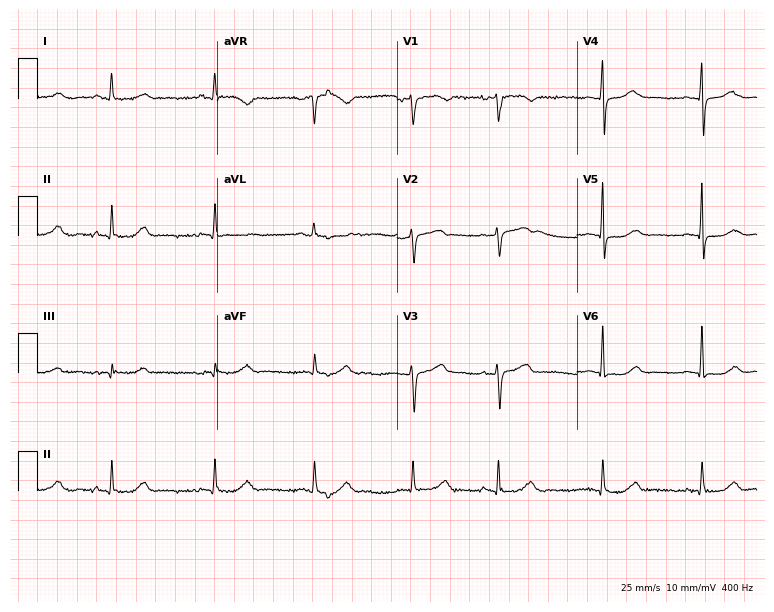
ECG (7.3-second recording at 400 Hz) — a 64-year-old woman. Screened for six findings — first-degree AV block, right bundle branch block, left bundle branch block, sinus bradycardia, atrial fibrillation, sinus tachycardia — none is recorded.